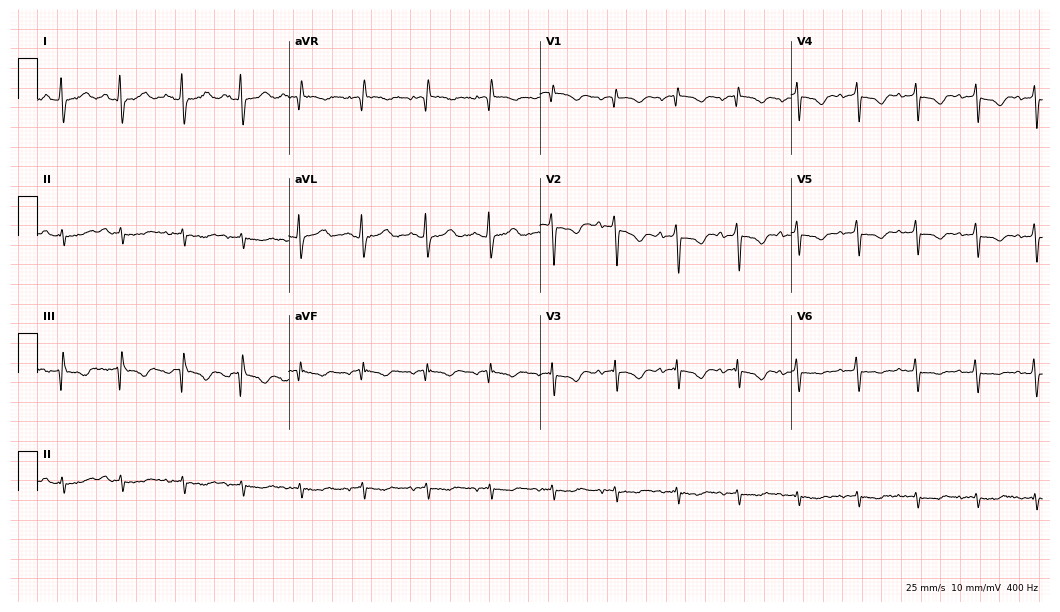
12-lead ECG (10.2-second recording at 400 Hz) from a male, 75 years old. Screened for six findings — first-degree AV block, right bundle branch block, left bundle branch block, sinus bradycardia, atrial fibrillation, sinus tachycardia — none is recorded. Only these six findings were labelled.